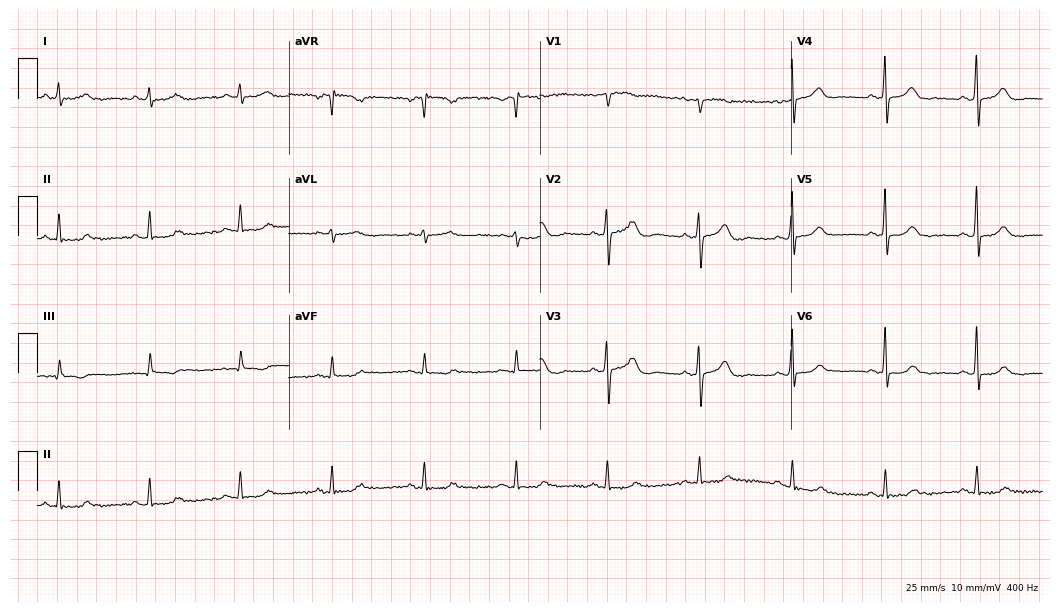
12-lead ECG from a female, 64 years old (10.2-second recording at 400 Hz). No first-degree AV block, right bundle branch block (RBBB), left bundle branch block (LBBB), sinus bradycardia, atrial fibrillation (AF) or sinus tachycardia recorded for this tracing. Only these six findings were labelled.